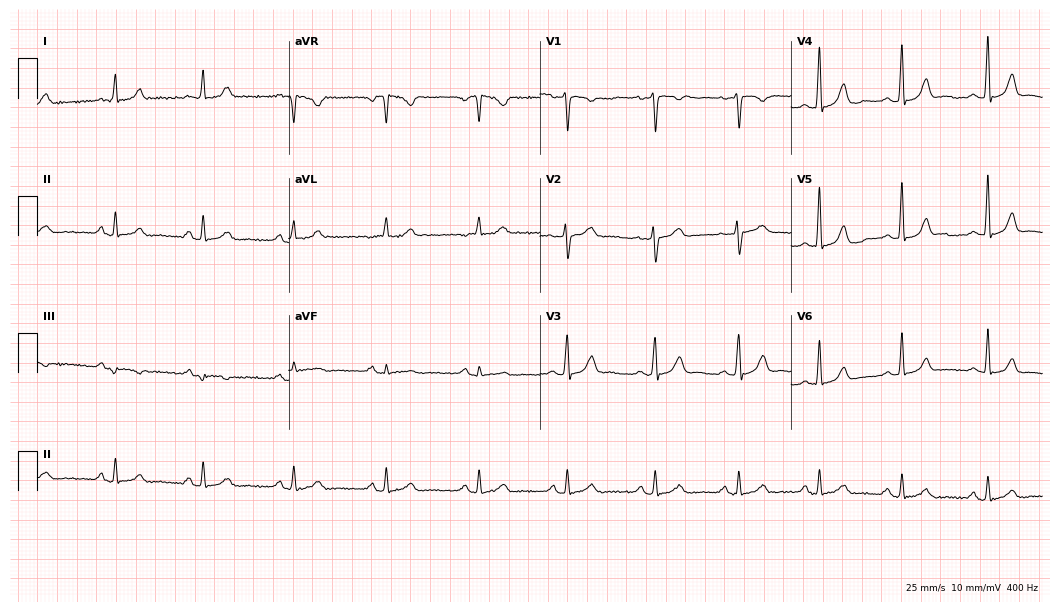
ECG (10.2-second recording at 400 Hz) — a 34-year-old woman. Labelled as a normal ECG.